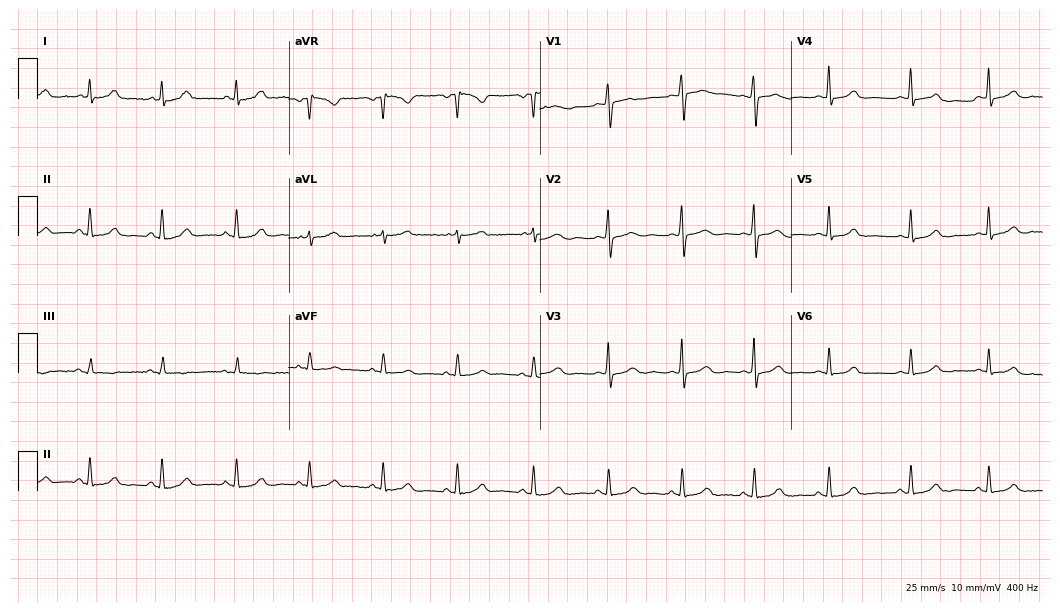
ECG (10.2-second recording at 400 Hz) — a 35-year-old female. Labelled as a normal ECG.